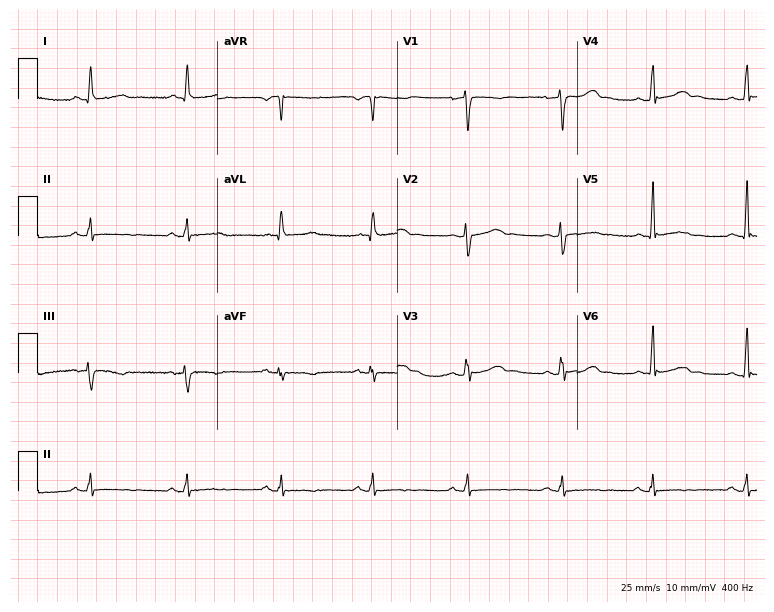
Standard 12-lead ECG recorded from a female, 50 years old. Read as a normal ECG.